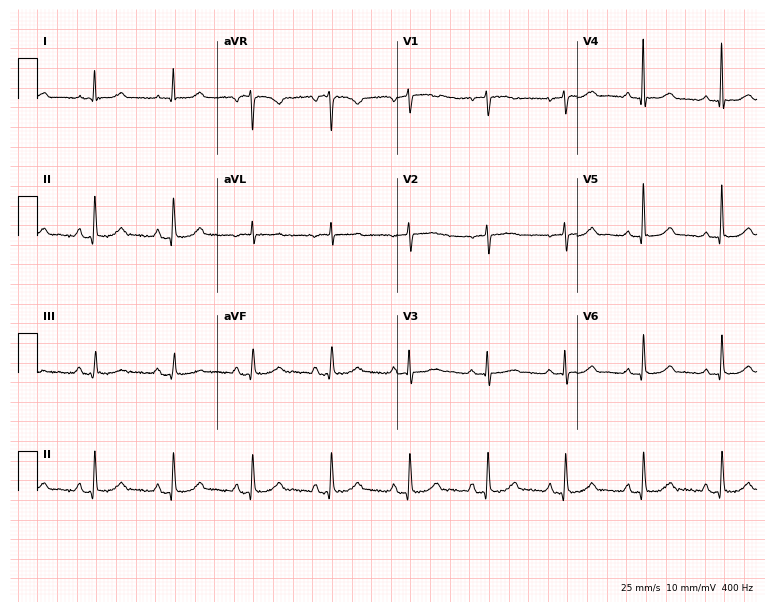
12-lead ECG from a female, 73 years old (7.3-second recording at 400 Hz). Recorded interpretation: within normal limits.